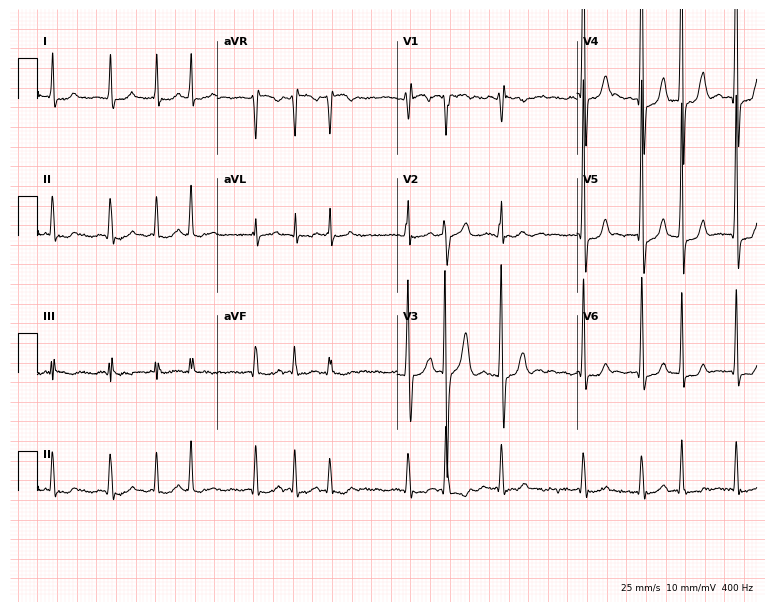
ECG (7.3-second recording at 400 Hz) — a 65-year-old man. Findings include atrial fibrillation.